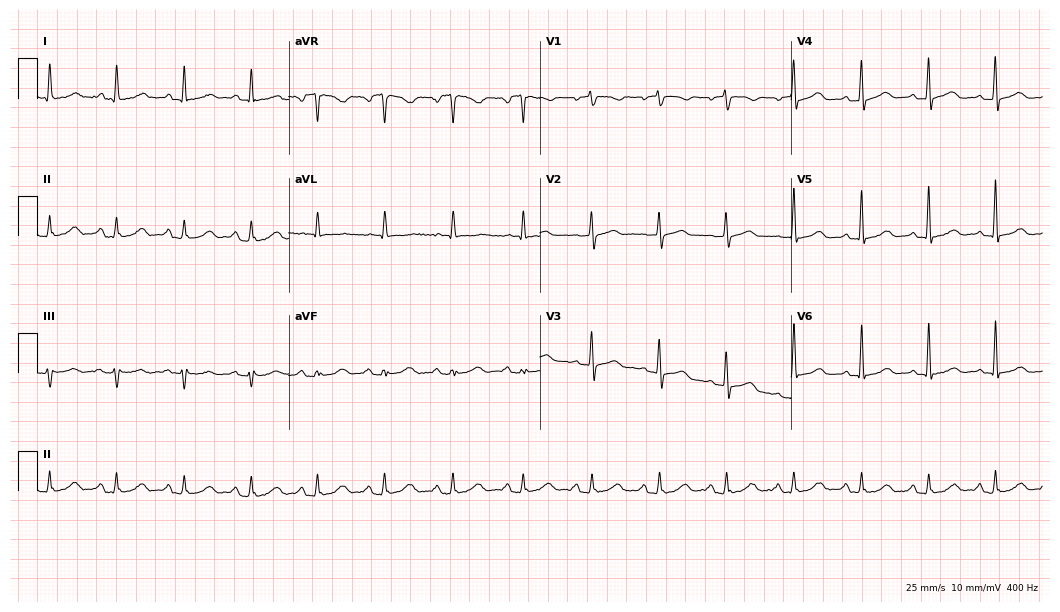
Resting 12-lead electrocardiogram. Patient: a female, 65 years old. Read as a normal ECG.